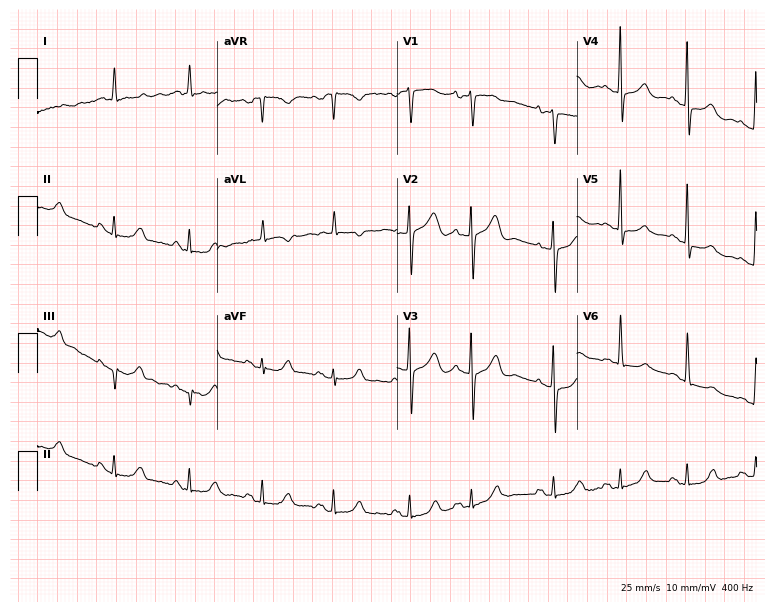
Standard 12-lead ECG recorded from a female patient, 74 years old (7.3-second recording at 400 Hz). None of these six findings is recorded: first-degree AV block, right bundle branch block (RBBB), left bundle branch block (LBBB), sinus bradycardia, atrial fibrillation (AF), sinus tachycardia. Only these six findings were labelled.